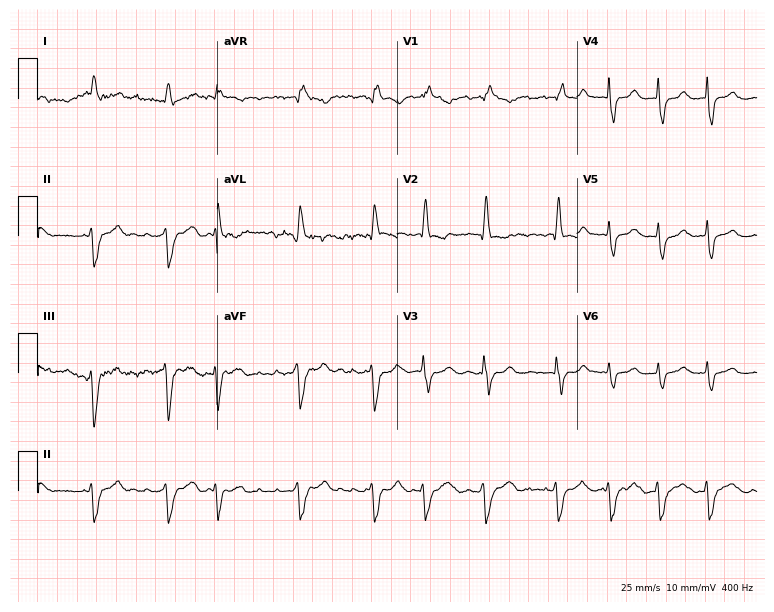
Resting 12-lead electrocardiogram (7.3-second recording at 400 Hz). Patient: a female, 77 years old. None of these six findings is recorded: first-degree AV block, right bundle branch block (RBBB), left bundle branch block (LBBB), sinus bradycardia, atrial fibrillation (AF), sinus tachycardia.